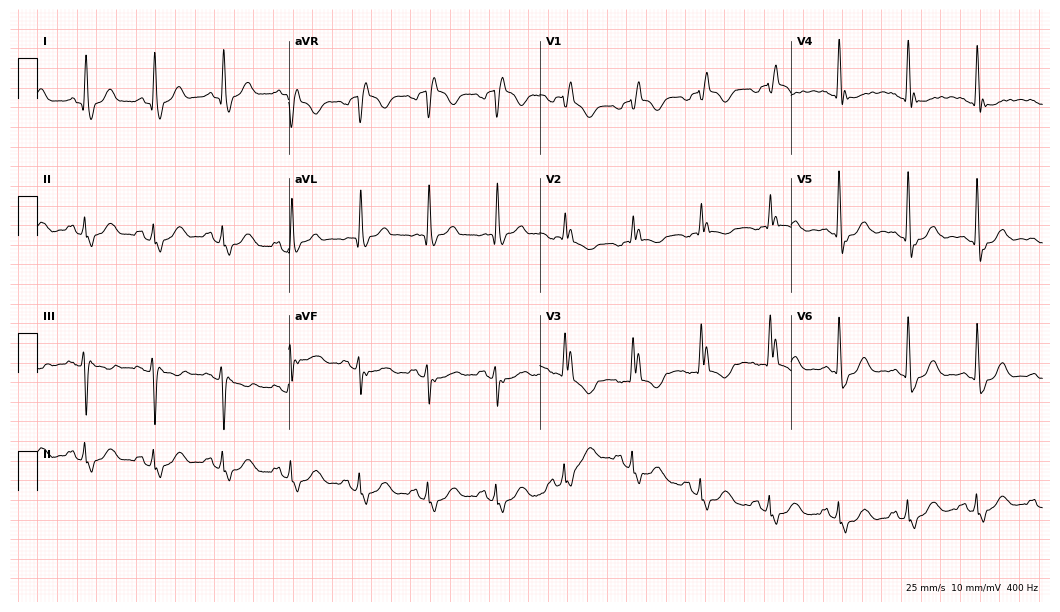
12-lead ECG (10.2-second recording at 400 Hz) from a female patient, 68 years old. Findings include right bundle branch block.